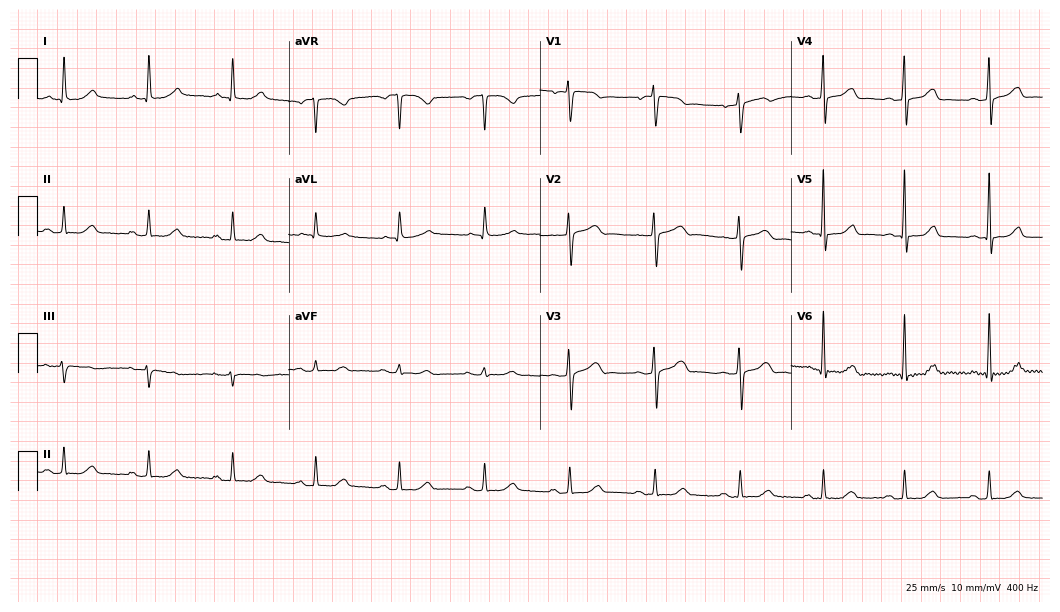
ECG (10.2-second recording at 400 Hz) — a 61-year-old female patient. Labelled as a normal ECG.